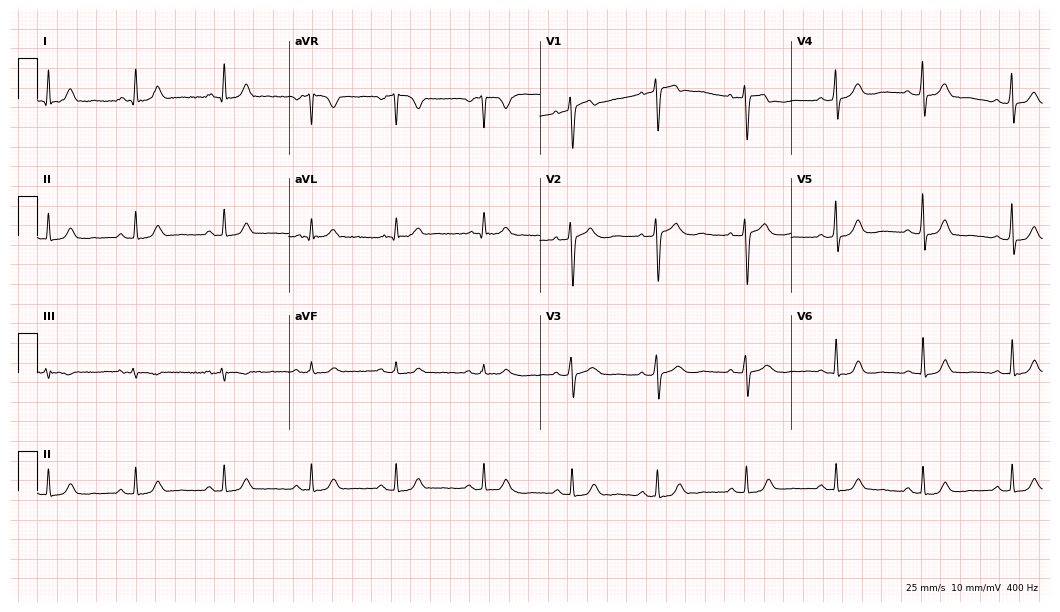
12-lead ECG (10.2-second recording at 400 Hz) from a 41-year-old female patient. Labelled as a normal ECG.